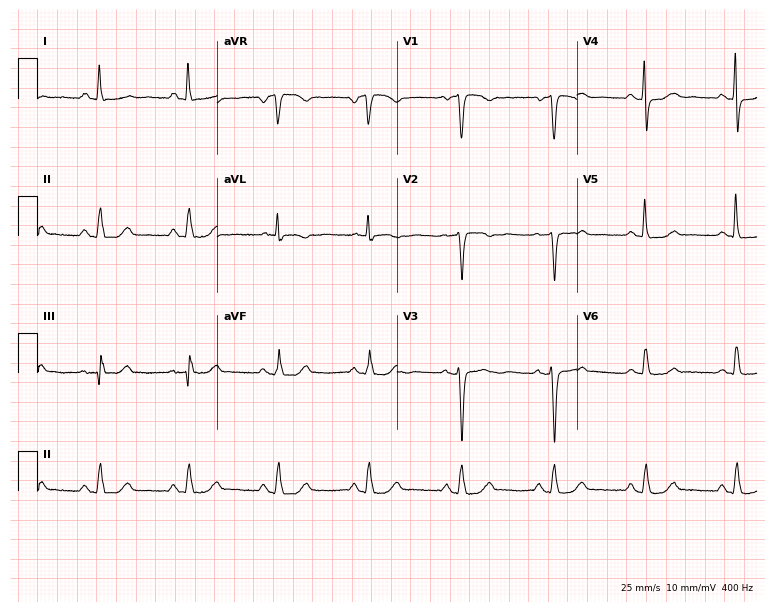
Standard 12-lead ECG recorded from a female, 59 years old (7.3-second recording at 400 Hz). Read as a normal ECG.